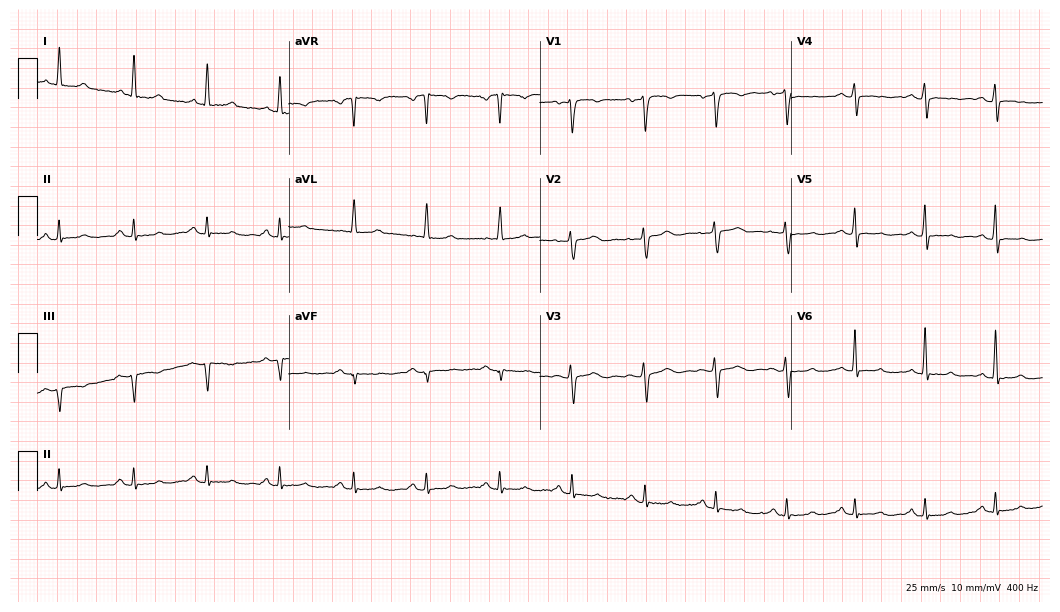
Resting 12-lead electrocardiogram. Patient: a female, 42 years old. None of these six findings is recorded: first-degree AV block, right bundle branch block, left bundle branch block, sinus bradycardia, atrial fibrillation, sinus tachycardia. Findings outside these six are not listed.